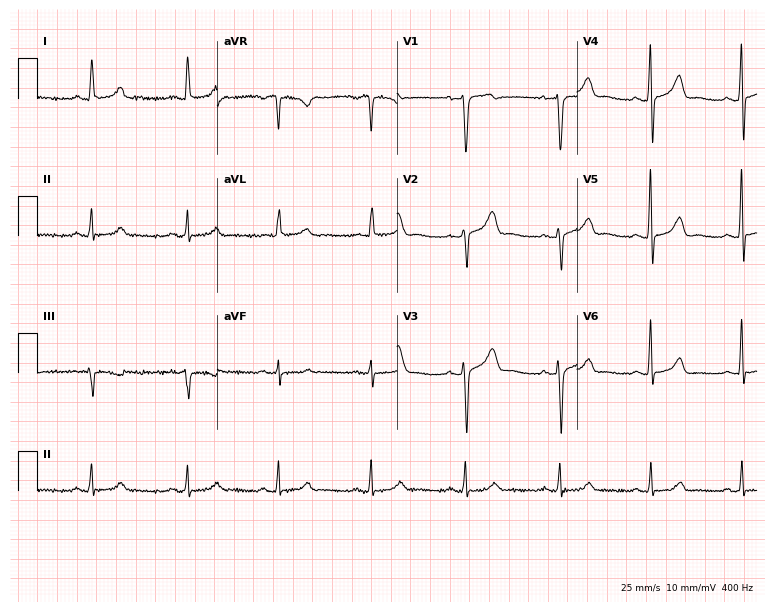
Resting 12-lead electrocardiogram. Patient: a female, 49 years old. Read as a normal ECG.